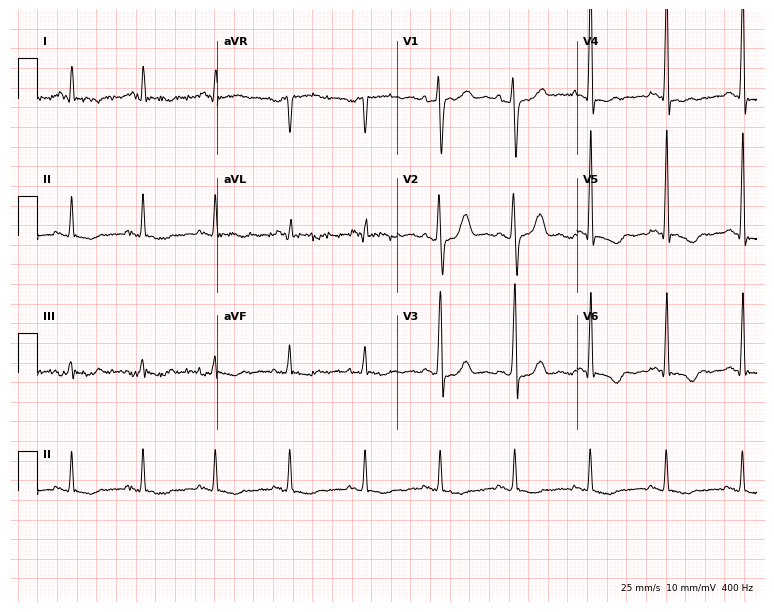
12-lead ECG from a 55-year-old male. No first-degree AV block, right bundle branch block, left bundle branch block, sinus bradycardia, atrial fibrillation or sinus tachycardia recorded for this tracing. Other findings, if any, are not listed.